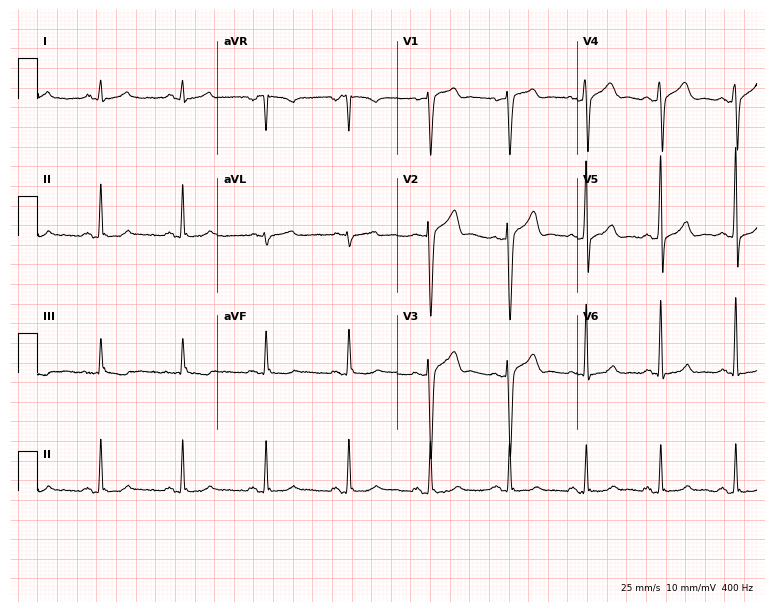
ECG (7.3-second recording at 400 Hz) — a male patient, 45 years old. Labelled as a normal ECG.